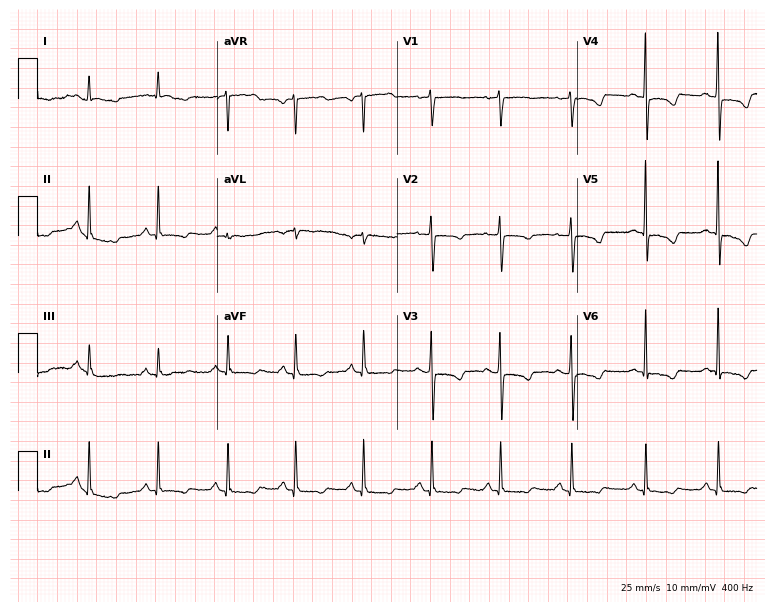
12-lead ECG (7.3-second recording at 400 Hz) from a female, 75 years old. Screened for six findings — first-degree AV block, right bundle branch block, left bundle branch block, sinus bradycardia, atrial fibrillation, sinus tachycardia — none is recorded.